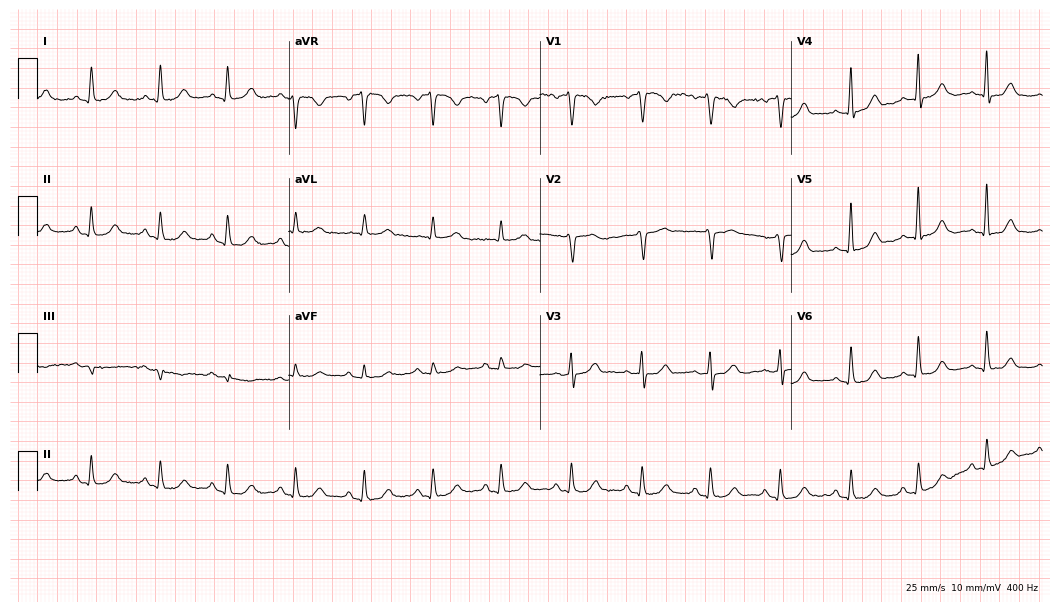
Standard 12-lead ECG recorded from a 63-year-old female. Read as a normal ECG.